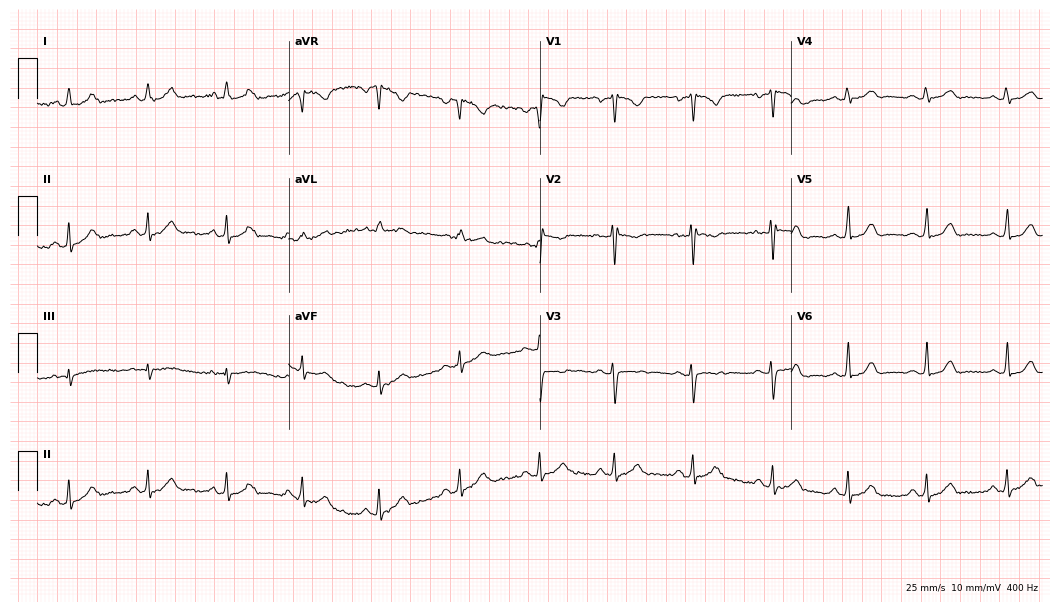
12-lead ECG from a 19-year-old woman. Screened for six findings — first-degree AV block, right bundle branch block (RBBB), left bundle branch block (LBBB), sinus bradycardia, atrial fibrillation (AF), sinus tachycardia — none is recorded. Only these six findings were labelled.